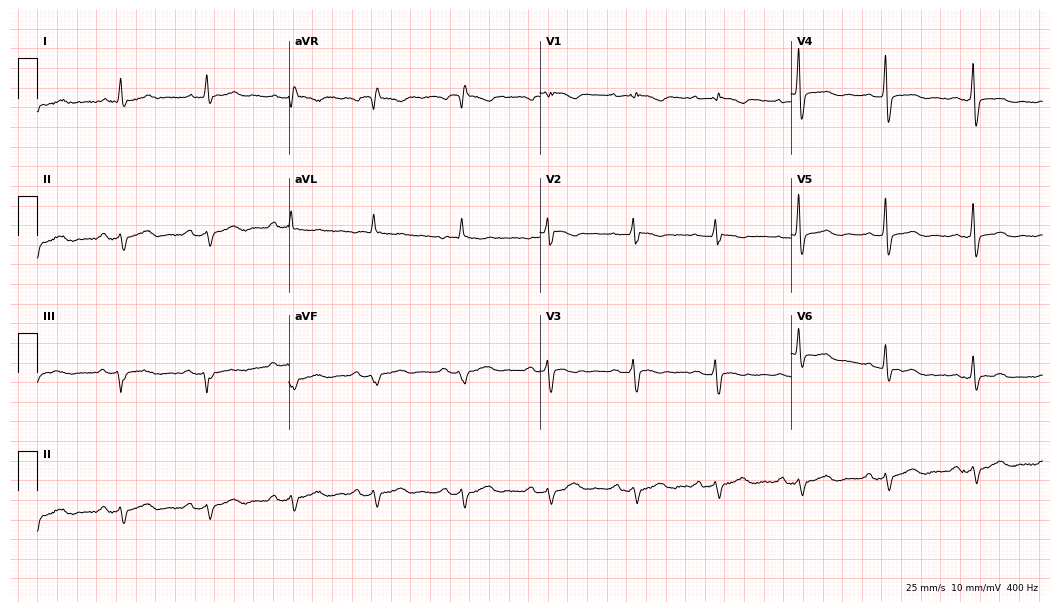
ECG — a 68-year-old woman. Screened for six findings — first-degree AV block, right bundle branch block, left bundle branch block, sinus bradycardia, atrial fibrillation, sinus tachycardia — none is recorded.